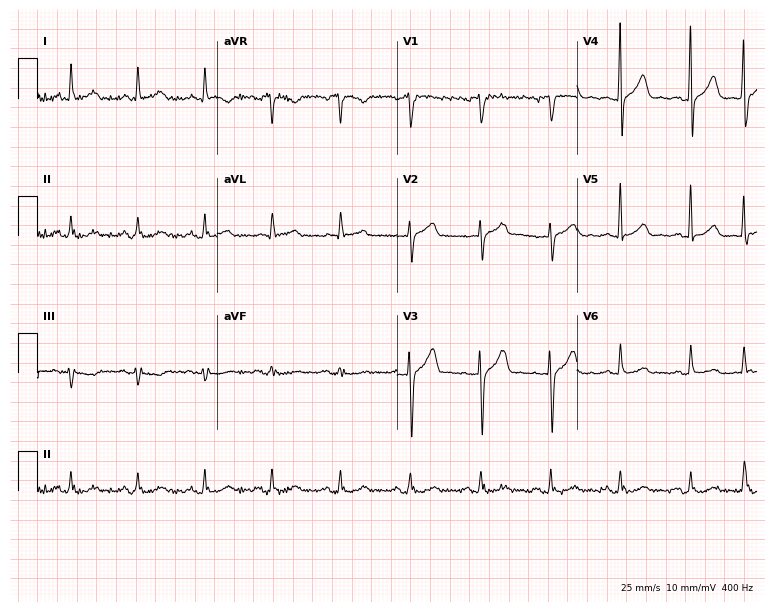
Standard 12-lead ECG recorded from a male, 58 years old (7.3-second recording at 400 Hz). Read as a normal ECG.